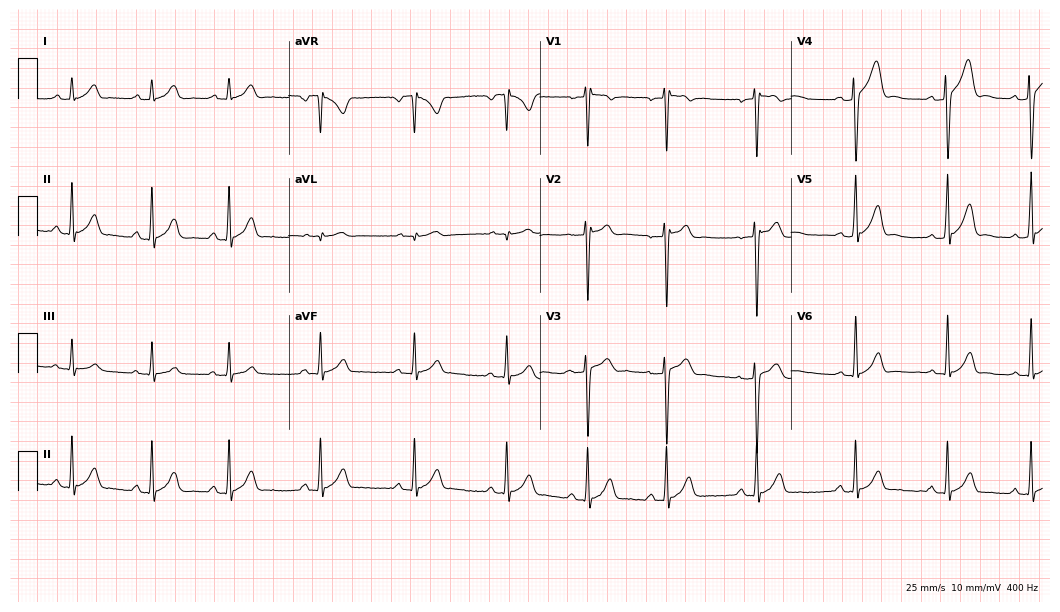
12-lead ECG from a 23-year-old male. Labelled as a normal ECG.